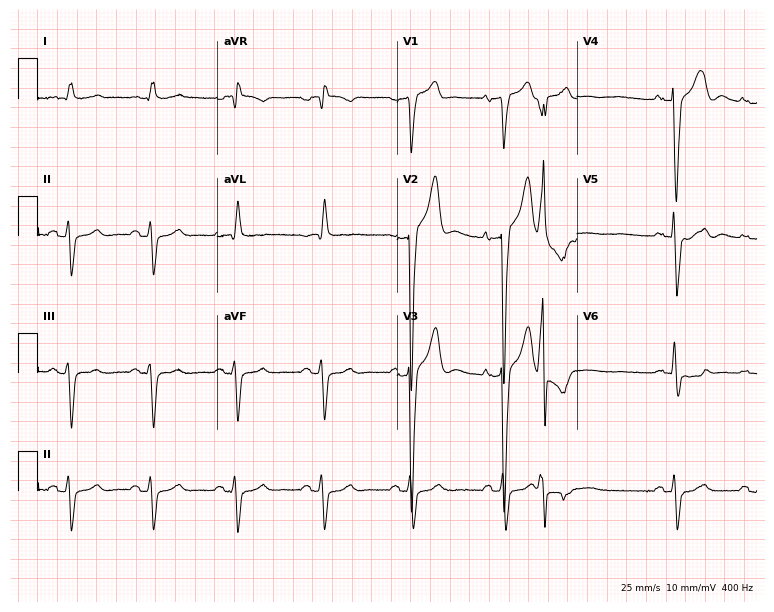
12-lead ECG from a 79-year-old male patient. No first-degree AV block, right bundle branch block (RBBB), left bundle branch block (LBBB), sinus bradycardia, atrial fibrillation (AF) or sinus tachycardia recorded for this tracing. Findings outside these six are not listed.